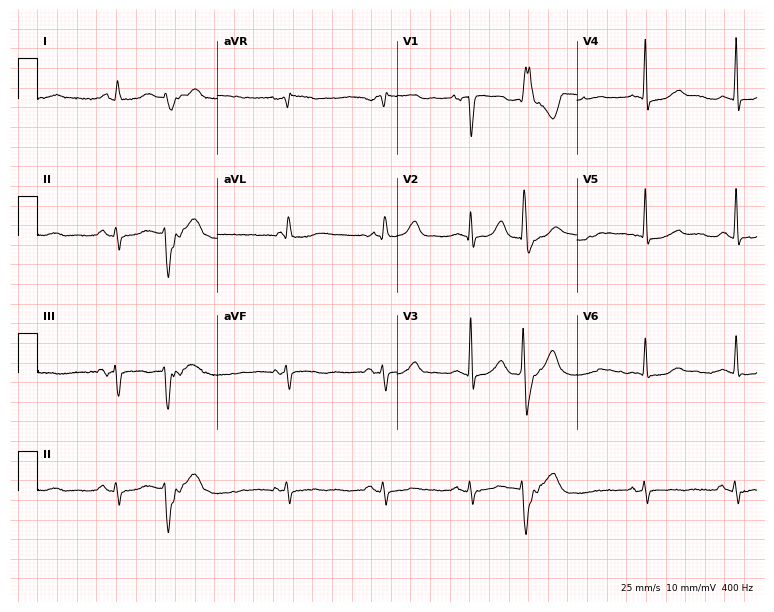
Standard 12-lead ECG recorded from an 85-year-old male patient (7.3-second recording at 400 Hz). None of these six findings is recorded: first-degree AV block, right bundle branch block, left bundle branch block, sinus bradycardia, atrial fibrillation, sinus tachycardia. Only these six findings were labelled.